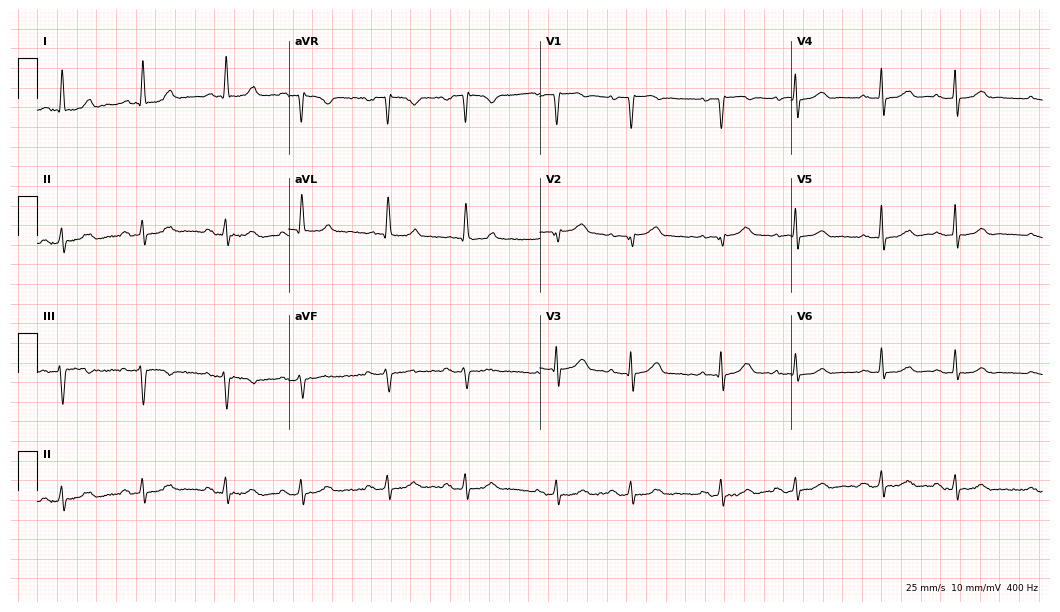
Electrocardiogram, an 85-year-old female. Of the six screened findings (first-degree AV block, right bundle branch block (RBBB), left bundle branch block (LBBB), sinus bradycardia, atrial fibrillation (AF), sinus tachycardia), none is recorded.